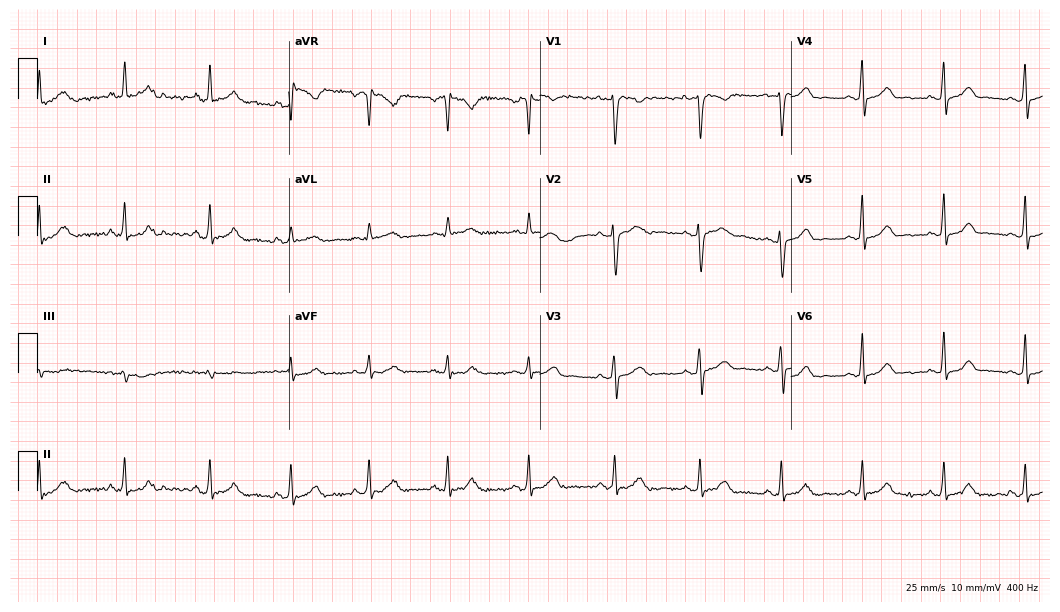
12-lead ECG from a female, 30 years old (10.2-second recording at 400 Hz). No first-degree AV block, right bundle branch block, left bundle branch block, sinus bradycardia, atrial fibrillation or sinus tachycardia recorded for this tracing. Findings outside these six are not listed.